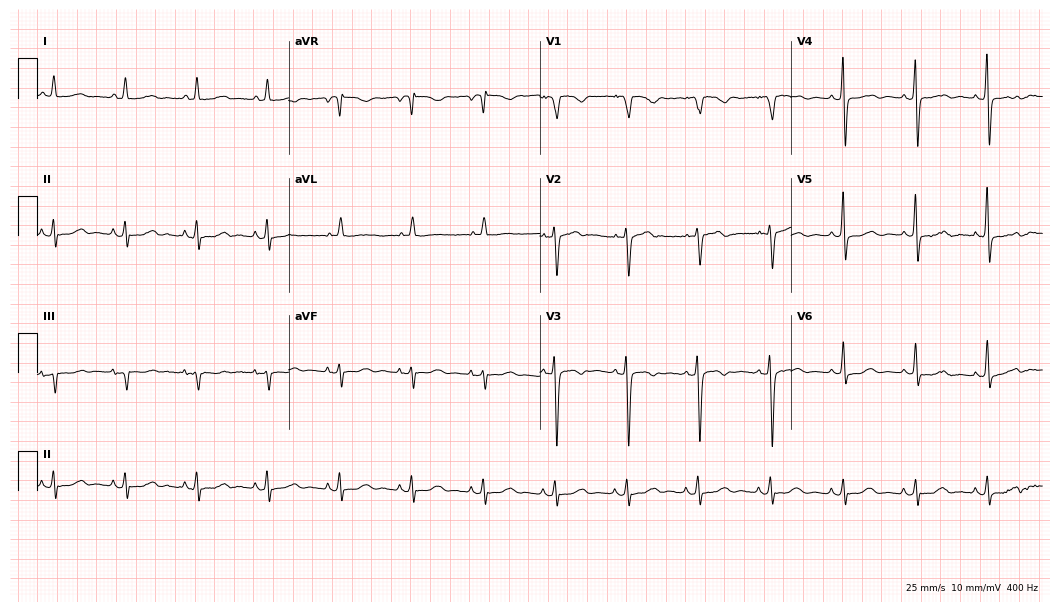
Standard 12-lead ECG recorded from a 74-year-old woman (10.2-second recording at 400 Hz). Read as a normal ECG.